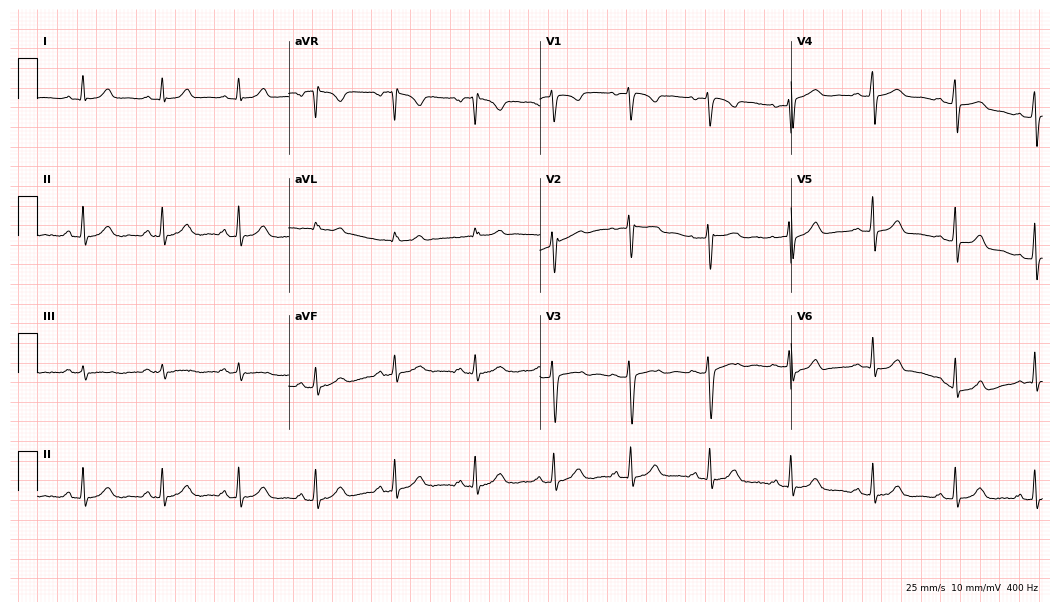
ECG (10.2-second recording at 400 Hz) — a woman, 25 years old. Labelled as a normal ECG.